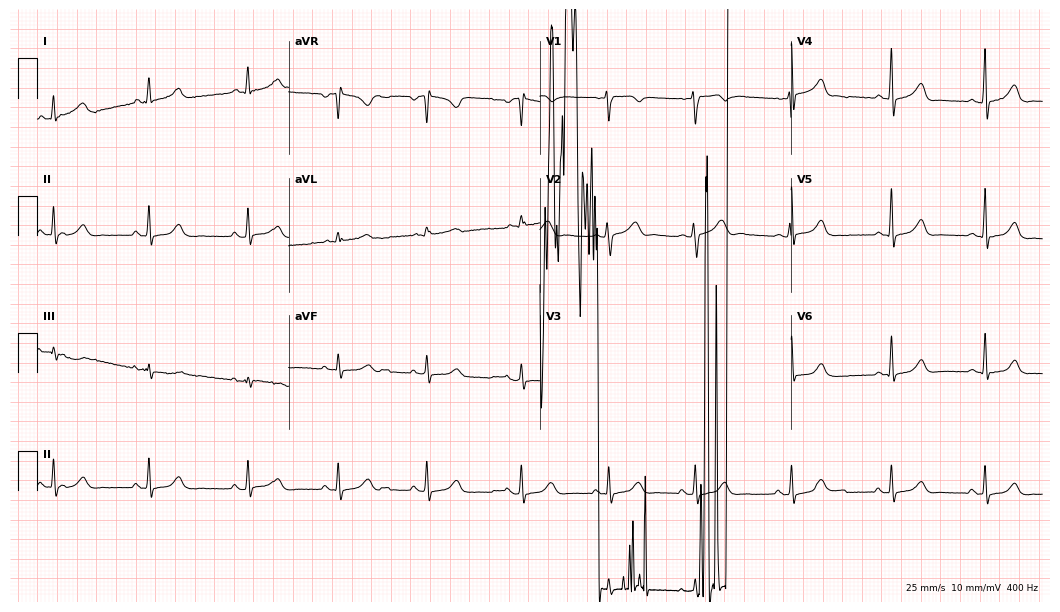
12-lead ECG from a woman, 31 years old (10.2-second recording at 400 Hz). No first-degree AV block, right bundle branch block, left bundle branch block, sinus bradycardia, atrial fibrillation or sinus tachycardia recorded for this tracing. Findings outside these six are not listed.